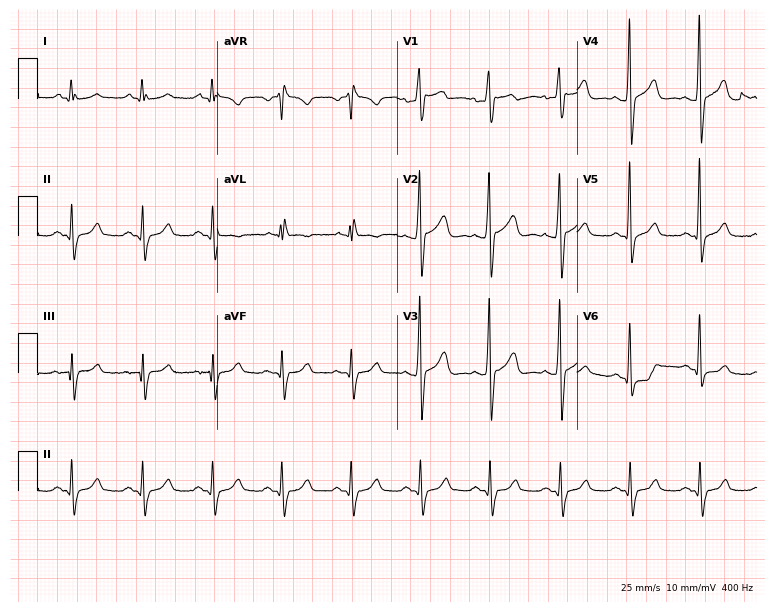
Resting 12-lead electrocardiogram (7.3-second recording at 400 Hz). Patient: a 48-year-old male. None of these six findings is recorded: first-degree AV block, right bundle branch block (RBBB), left bundle branch block (LBBB), sinus bradycardia, atrial fibrillation (AF), sinus tachycardia.